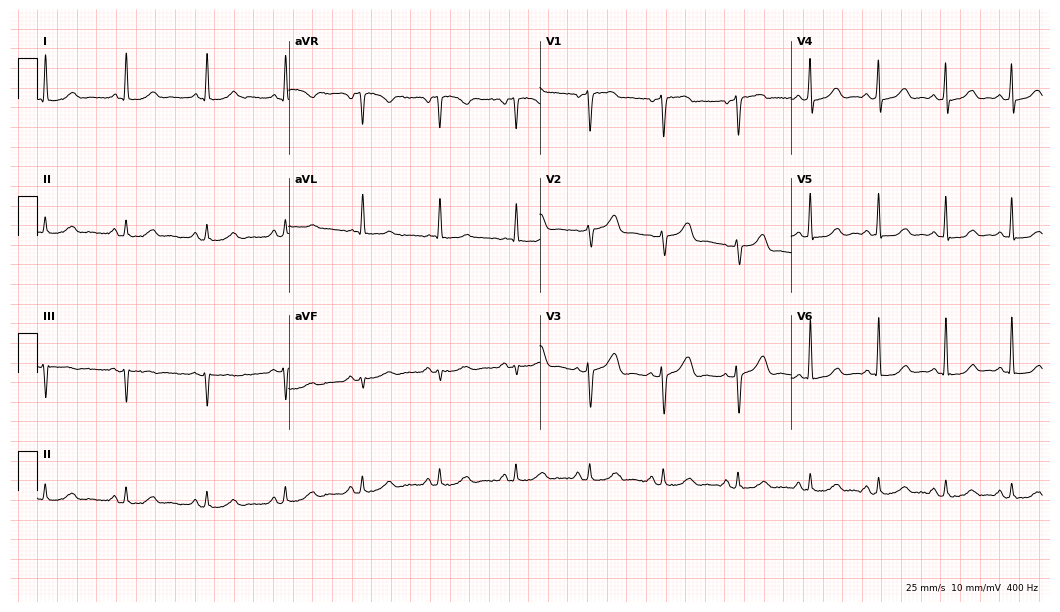
12-lead ECG from a female, 75 years old. Recorded interpretation: within normal limits.